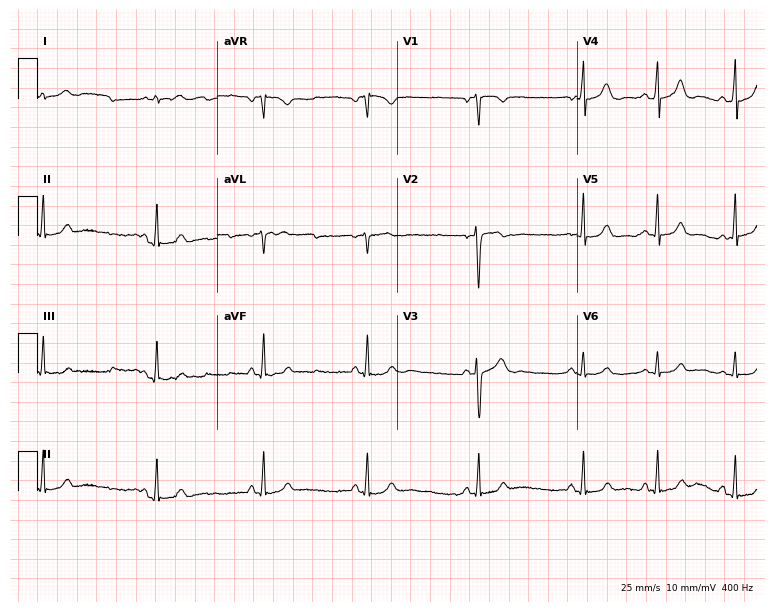
12-lead ECG from a female patient, 17 years old (7.3-second recording at 400 Hz). Recorded interpretation: within normal limits.